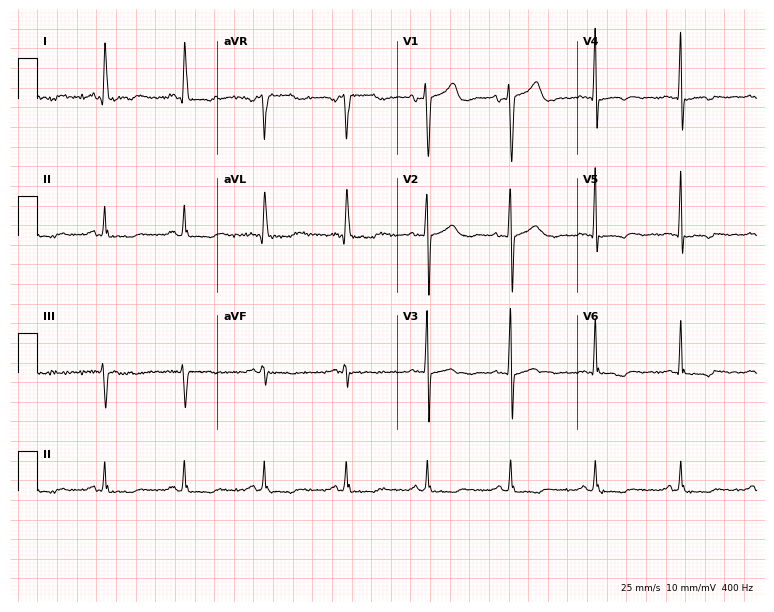
ECG (7.3-second recording at 400 Hz) — a man, 61 years old. Screened for six findings — first-degree AV block, right bundle branch block, left bundle branch block, sinus bradycardia, atrial fibrillation, sinus tachycardia — none is recorded. Findings outside these six are not listed.